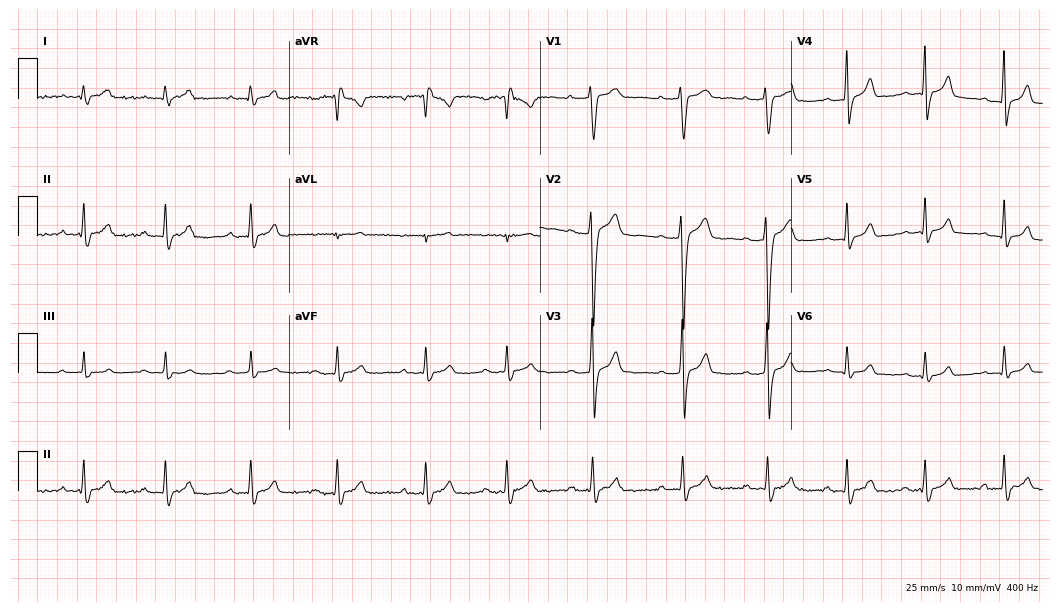
ECG — a 24-year-old woman. Findings include first-degree AV block.